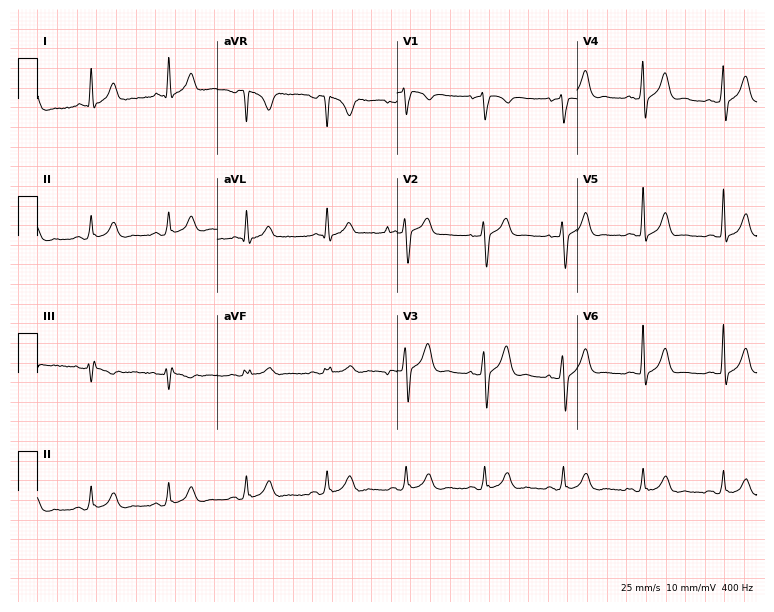
ECG — a male, 41 years old. Screened for six findings — first-degree AV block, right bundle branch block, left bundle branch block, sinus bradycardia, atrial fibrillation, sinus tachycardia — none is recorded.